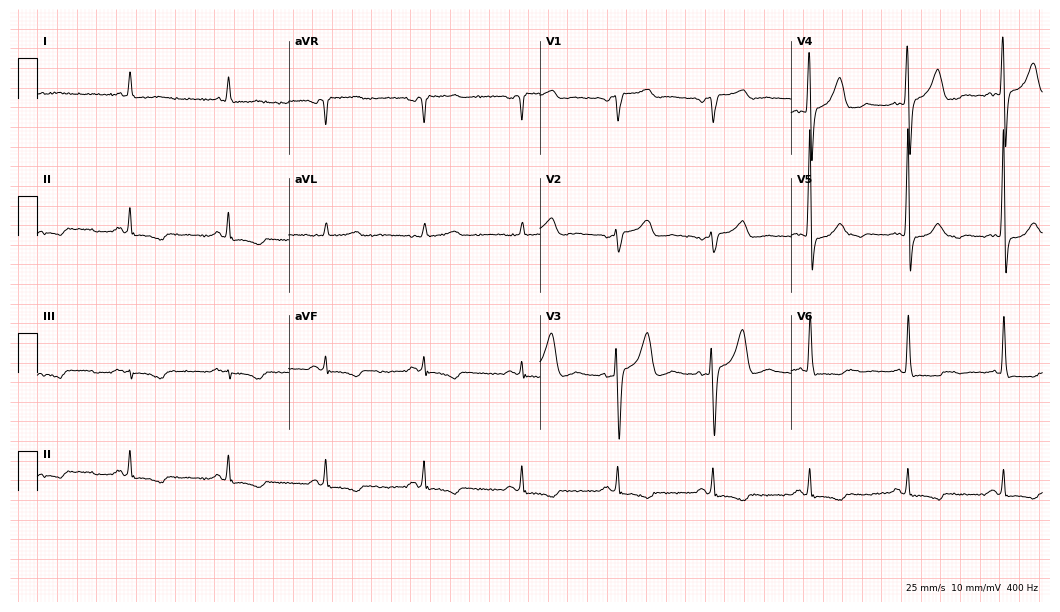
12-lead ECG from a male, 70 years old. No first-degree AV block, right bundle branch block, left bundle branch block, sinus bradycardia, atrial fibrillation or sinus tachycardia recorded for this tracing.